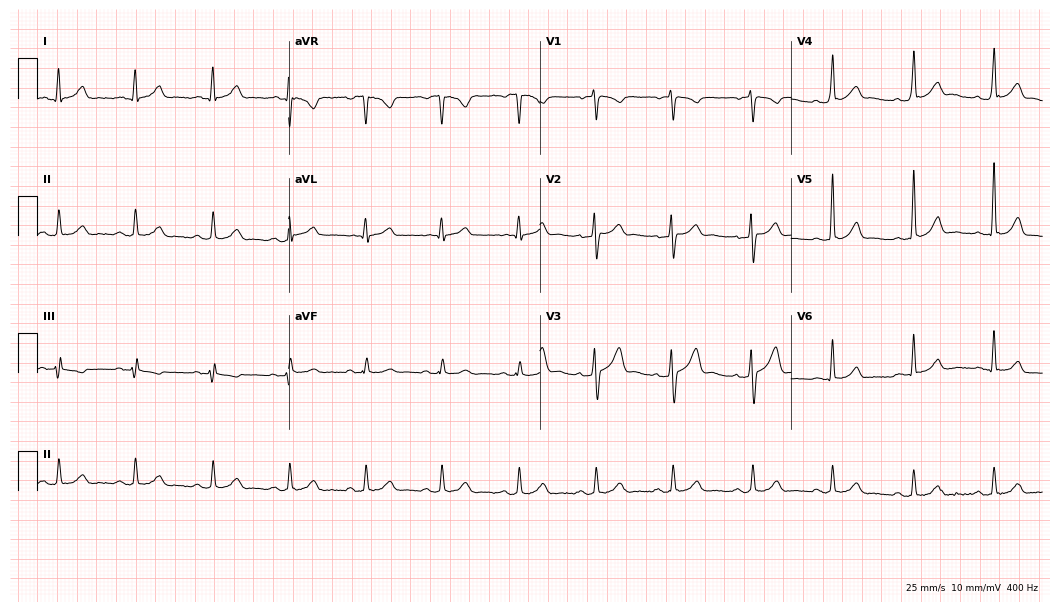
Resting 12-lead electrocardiogram (10.2-second recording at 400 Hz). Patient: a man, 38 years old. None of these six findings is recorded: first-degree AV block, right bundle branch block, left bundle branch block, sinus bradycardia, atrial fibrillation, sinus tachycardia.